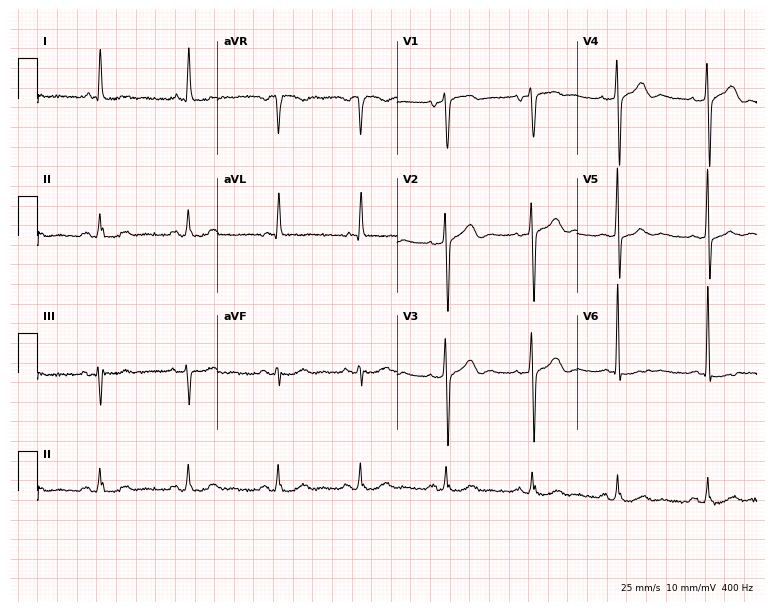
Electrocardiogram, an 80-year-old male. Of the six screened findings (first-degree AV block, right bundle branch block, left bundle branch block, sinus bradycardia, atrial fibrillation, sinus tachycardia), none is recorded.